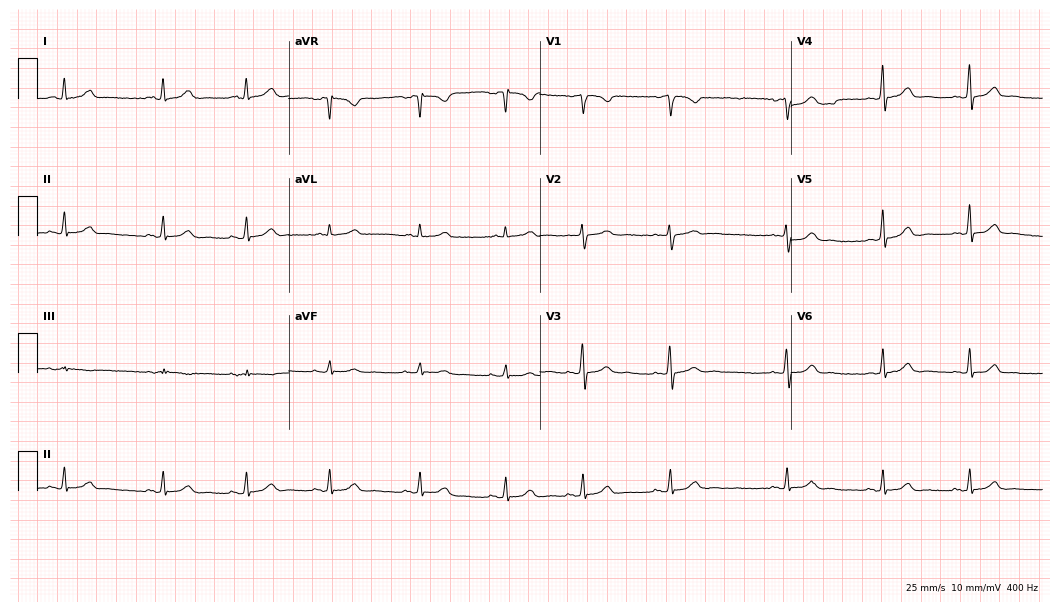
12-lead ECG from a 21-year-old female patient. Recorded interpretation: within normal limits.